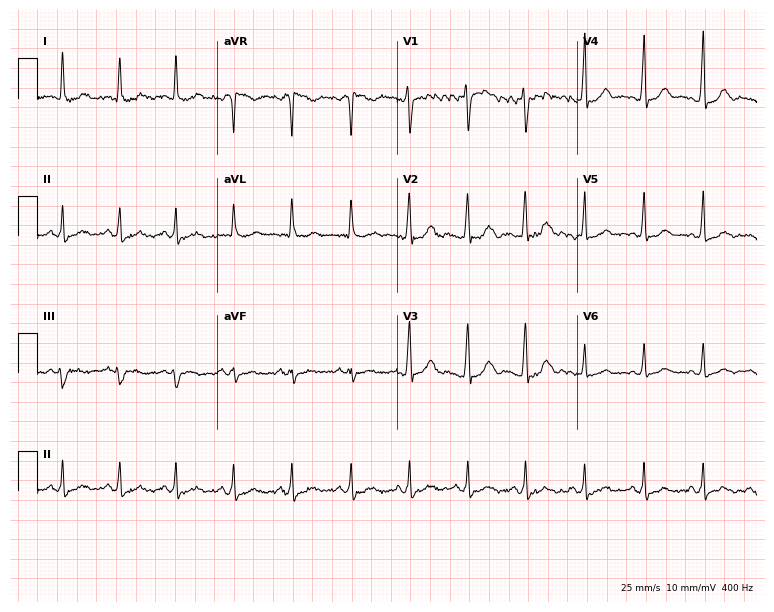
Resting 12-lead electrocardiogram. Patient: a 47-year-old female. The tracing shows sinus tachycardia (a sinus rate of 100 beats per minute or more).